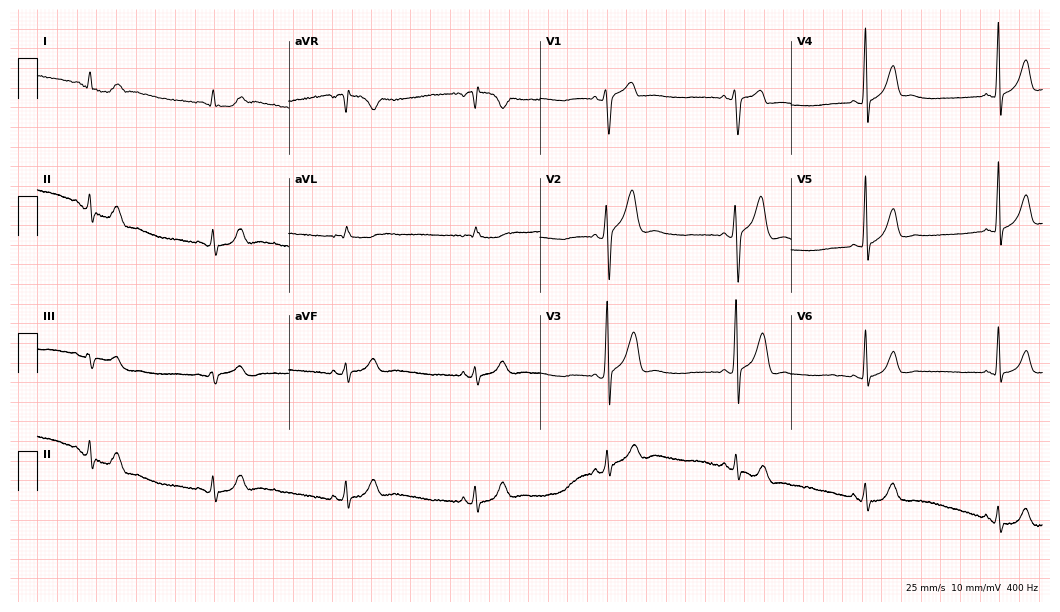
ECG — a male patient, 39 years old. Findings include sinus bradycardia (a sinus rate of 50 beats per minute or less).